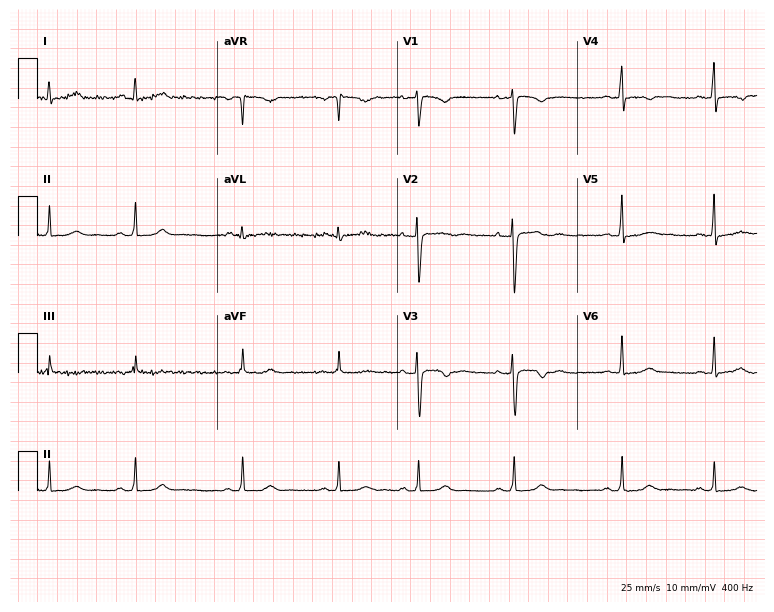
ECG — a 34-year-old female patient. Screened for six findings — first-degree AV block, right bundle branch block, left bundle branch block, sinus bradycardia, atrial fibrillation, sinus tachycardia — none is recorded. Other findings, if any, are not listed.